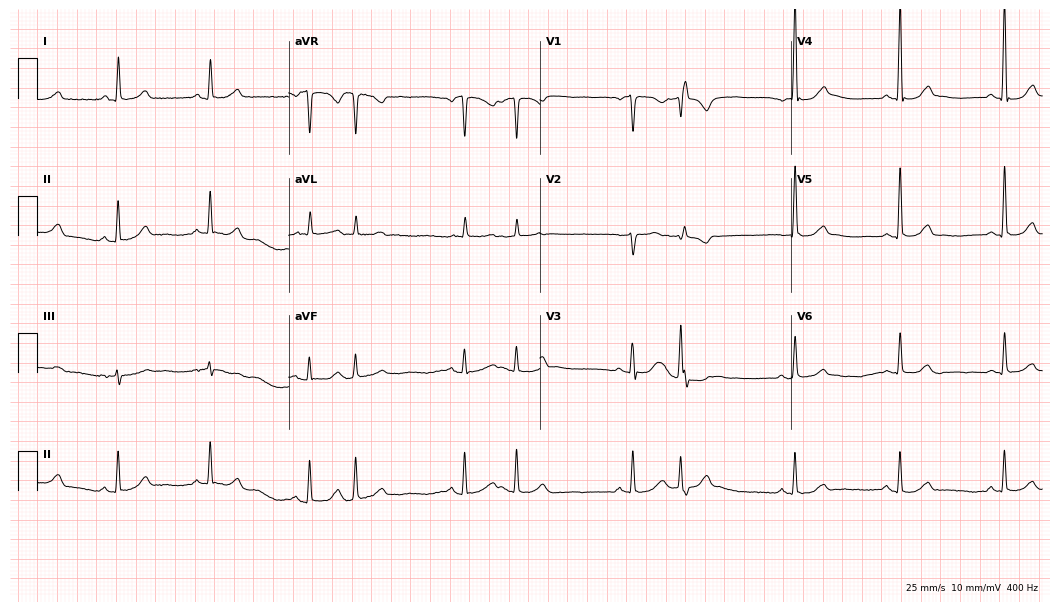
Electrocardiogram (10.2-second recording at 400 Hz), a 67-year-old woman. Of the six screened findings (first-degree AV block, right bundle branch block (RBBB), left bundle branch block (LBBB), sinus bradycardia, atrial fibrillation (AF), sinus tachycardia), none is recorded. Findings outside these six are not listed.